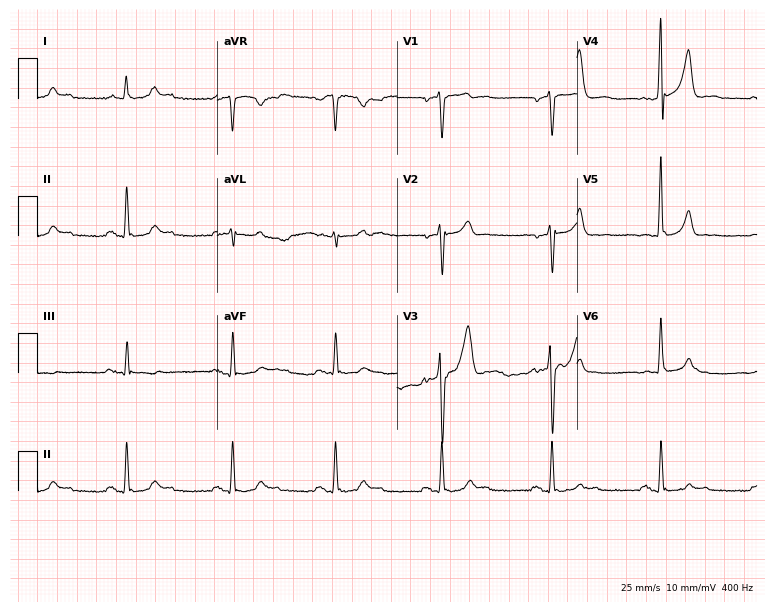
Standard 12-lead ECG recorded from a male patient, 47 years old. None of these six findings is recorded: first-degree AV block, right bundle branch block (RBBB), left bundle branch block (LBBB), sinus bradycardia, atrial fibrillation (AF), sinus tachycardia.